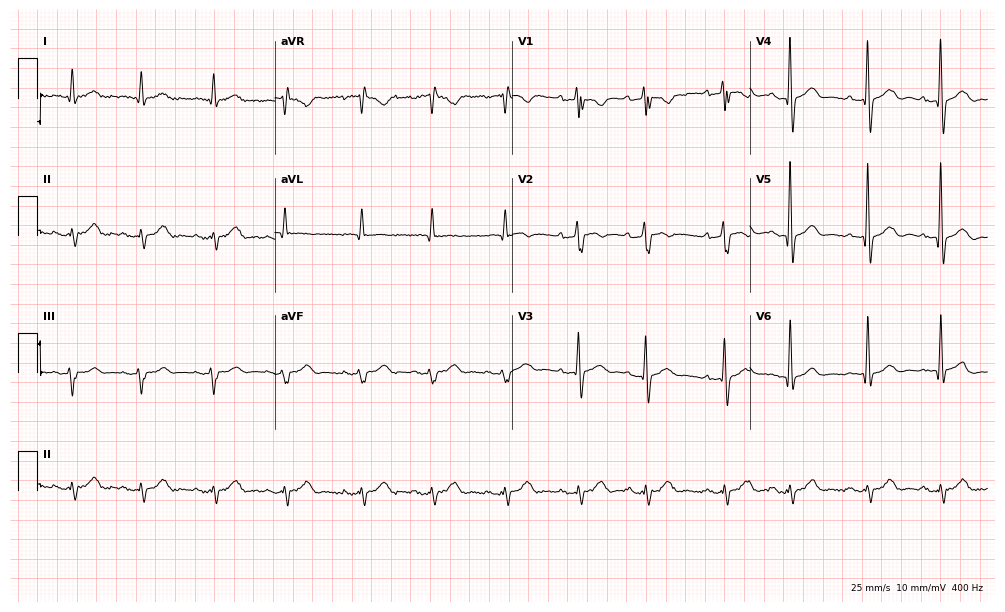
Standard 12-lead ECG recorded from a 78-year-old female patient (9.7-second recording at 400 Hz). None of these six findings is recorded: first-degree AV block, right bundle branch block, left bundle branch block, sinus bradycardia, atrial fibrillation, sinus tachycardia.